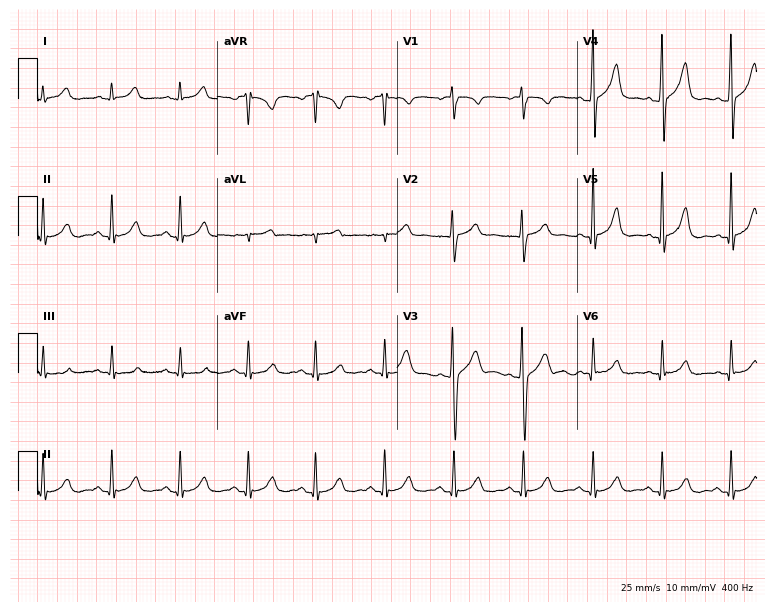
ECG (7.3-second recording at 400 Hz) — a man, 38 years old. Labelled as a normal ECG.